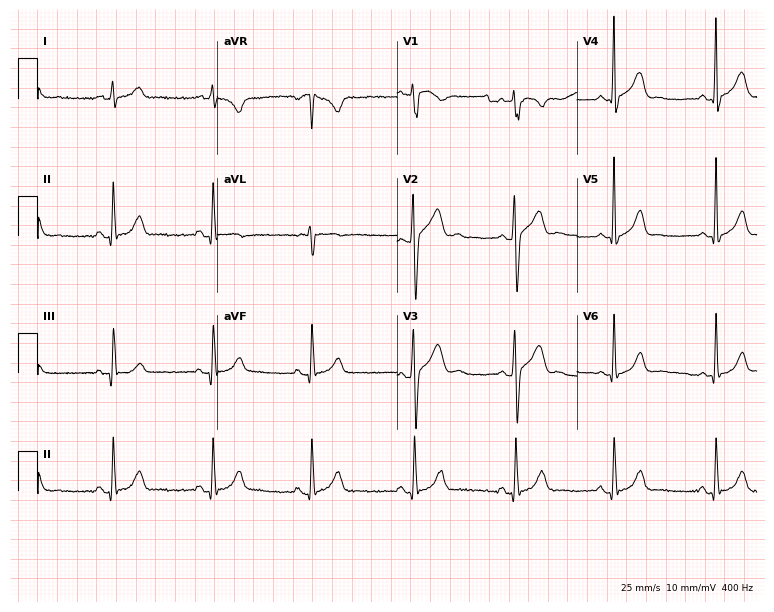
12-lead ECG from a man, 32 years old. Labelled as a normal ECG.